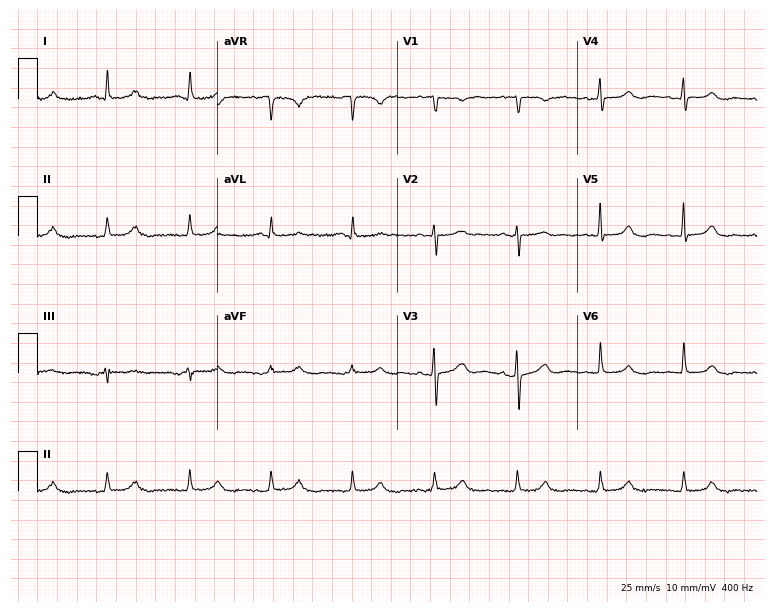
Resting 12-lead electrocardiogram (7.3-second recording at 400 Hz). Patient: a female, 66 years old. Read as a normal ECG.